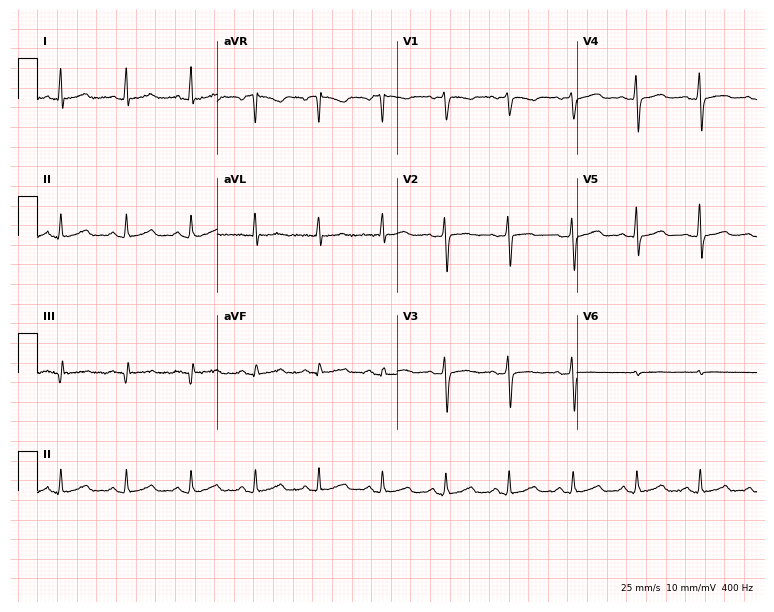
12-lead ECG (7.3-second recording at 400 Hz) from a female, 42 years old. Screened for six findings — first-degree AV block, right bundle branch block, left bundle branch block, sinus bradycardia, atrial fibrillation, sinus tachycardia — none is recorded.